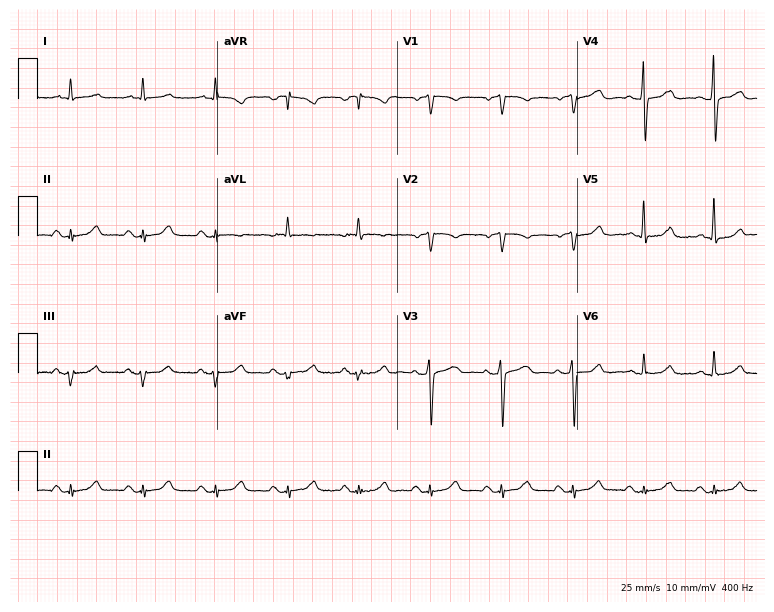
Resting 12-lead electrocardiogram. Patient: a female, 81 years old. None of these six findings is recorded: first-degree AV block, right bundle branch block, left bundle branch block, sinus bradycardia, atrial fibrillation, sinus tachycardia.